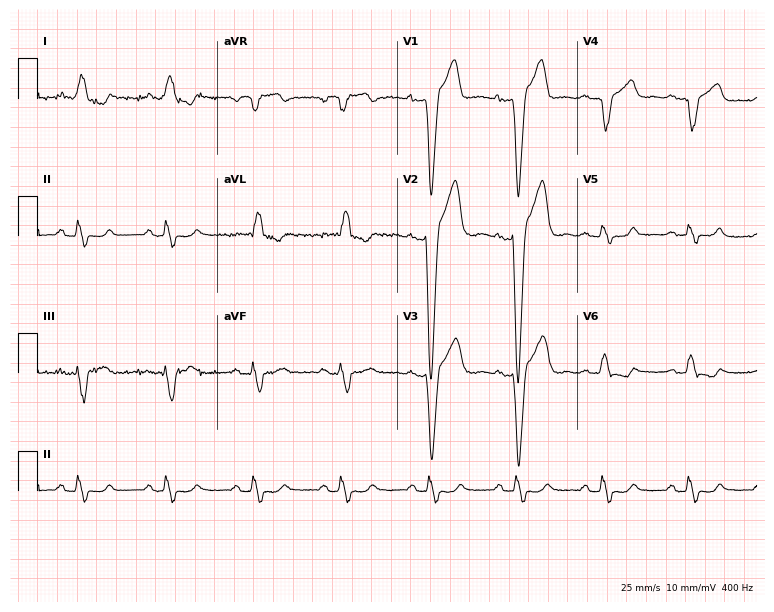
ECG — a male patient, 62 years old. Findings include left bundle branch block.